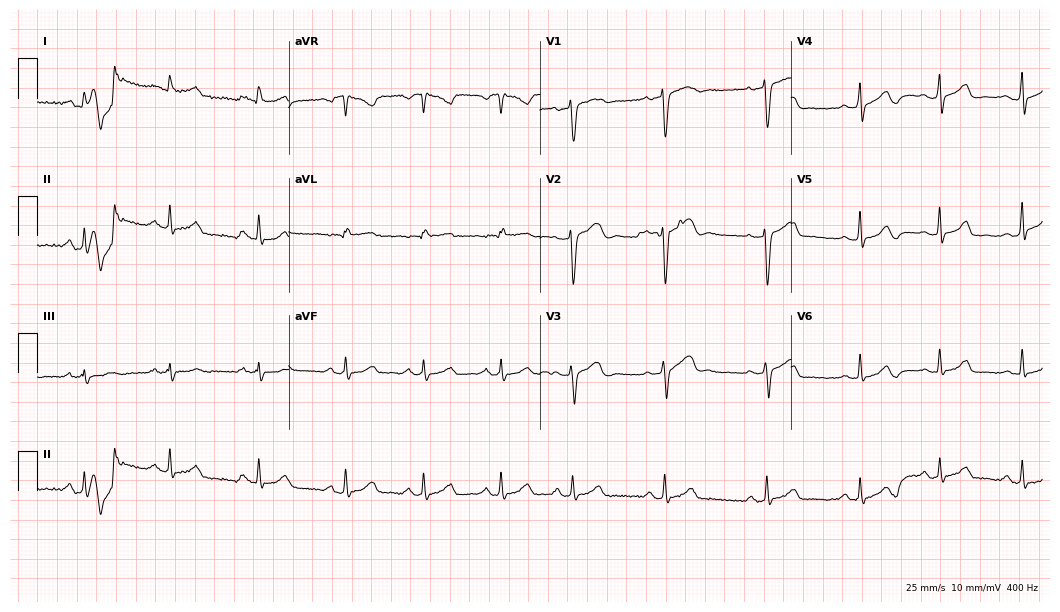
Standard 12-lead ECG recorded from a woman, 26 years old (10.2-second recording at 400 Hz). None of these six findings is recorded: first-degree AV block, right bundle branch block, left bundle branch block, sinus bradycardia, atrial fibrillation, sinus tachycardia. Findings outside these six are not listed.